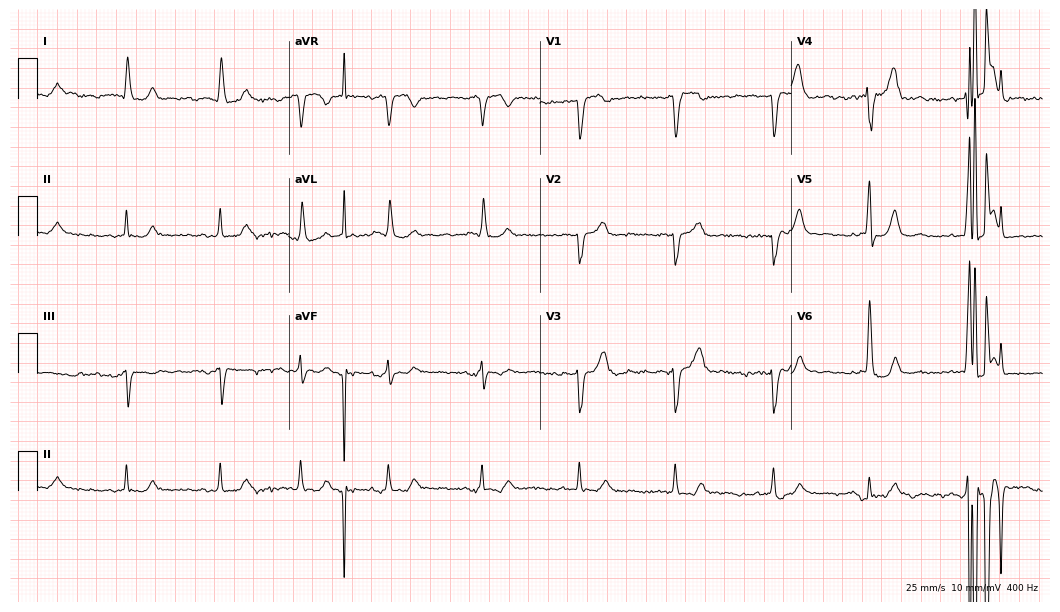
Electrocardiogram (10.2-second recording at 400 Hz), a 77-year-old man. Overall reading on record: normal ECG.